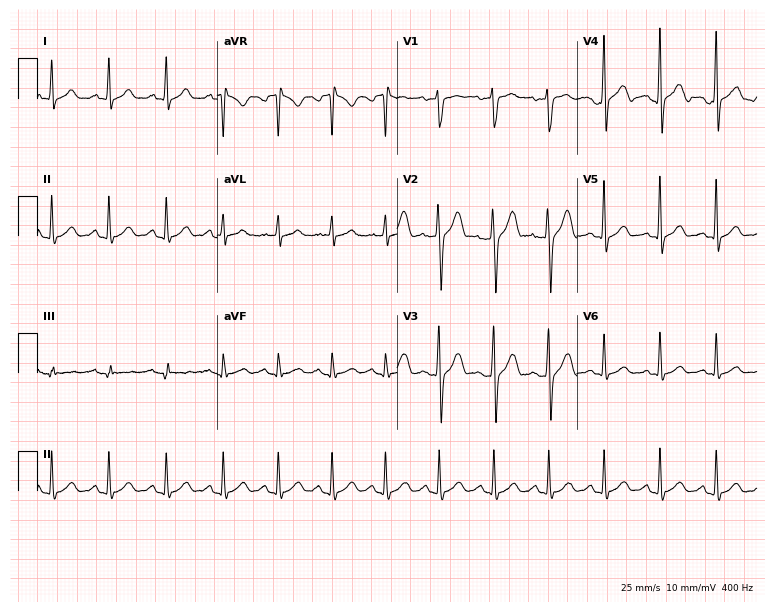
12-lead ECG from a male patient, 23 years old. Findings include sinus tachycardia (a sinus rate of 100 beats per minute or more).